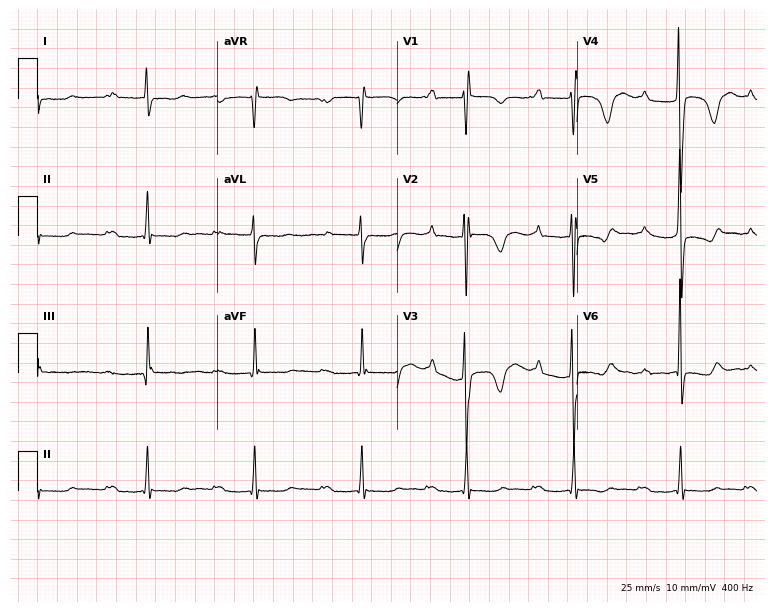
12-lead ECG from a male patient, 50 years old (7.3-second recording at 400 Hz). Shows first-degree AV block.